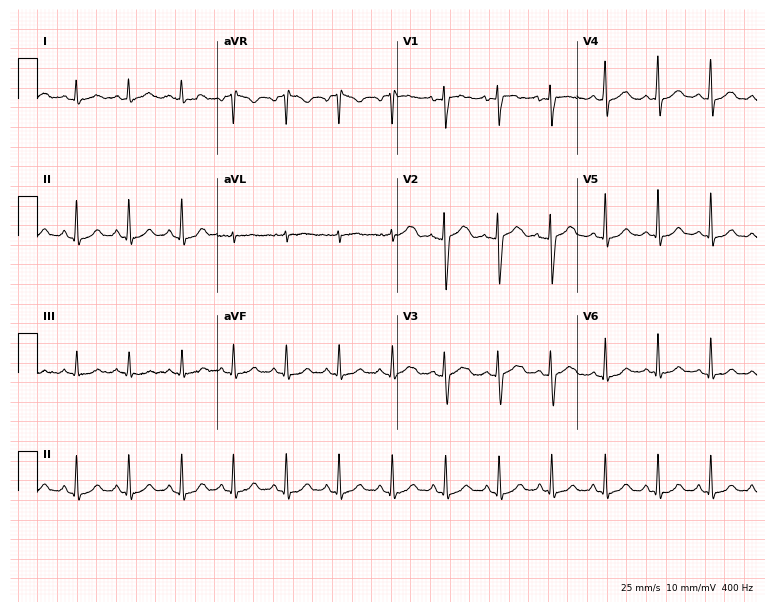
ECG (7.3-second recording at 400 Hz) — a woman, 31 years old. Findings include sinus tachycardia (a sinus rate of 100 beats per minute or more).